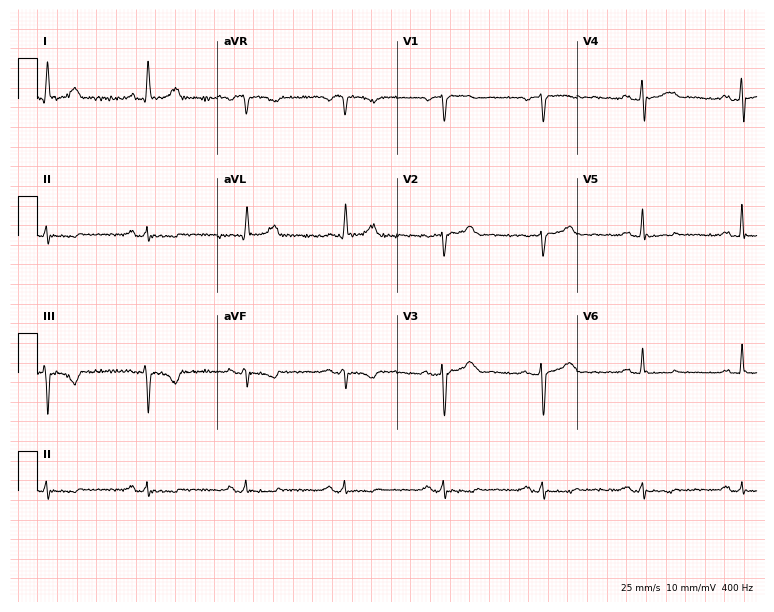
Standard 12-lead ECG recorded from a female patient, 68 years old (7.3-second recording at 400 Hz). None of these six findings is recorded: first-degree AV block, right bundle branch block, left bundle branch block, sinus bradycardia, atrial fibrillation, sinus tachycardia. Findings outside these six are not listed.